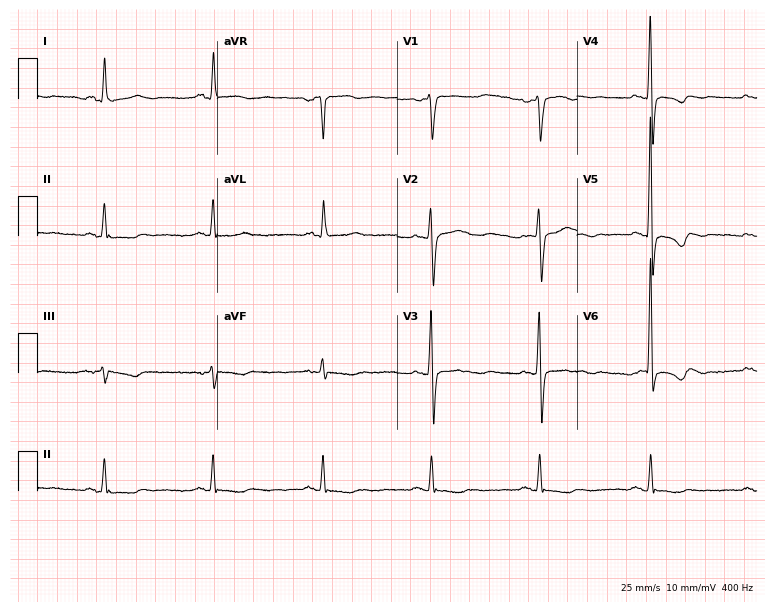
ECG — a 65-year-old female. Screened for six findings — first-degree AV block, right bundle branch block, left bundle branch block, sinus bradycardia, atrial fibrillation, sinus tachycardia — none is recorded. Findings outside these six are not listed.